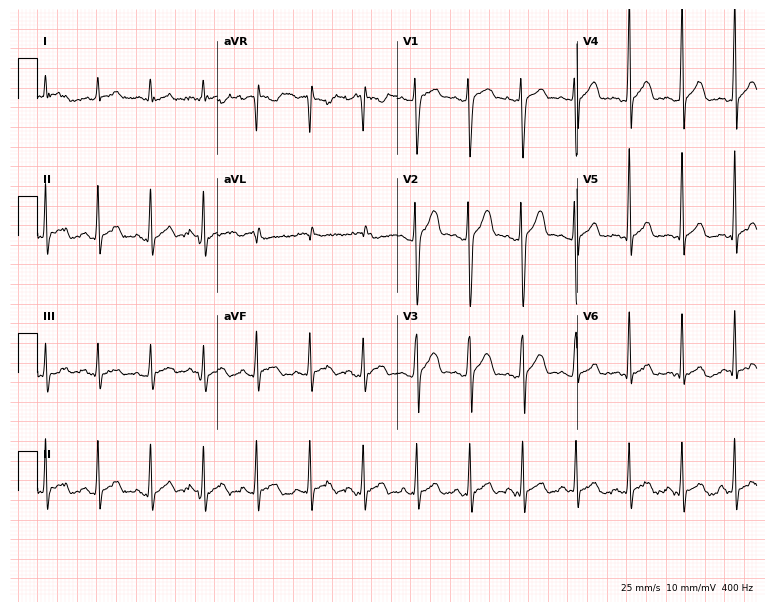
12-lead ECG from a 25-year-old male patient. Findings include sinus tachycardia (a sinus rate of 100 beats per minute or more).